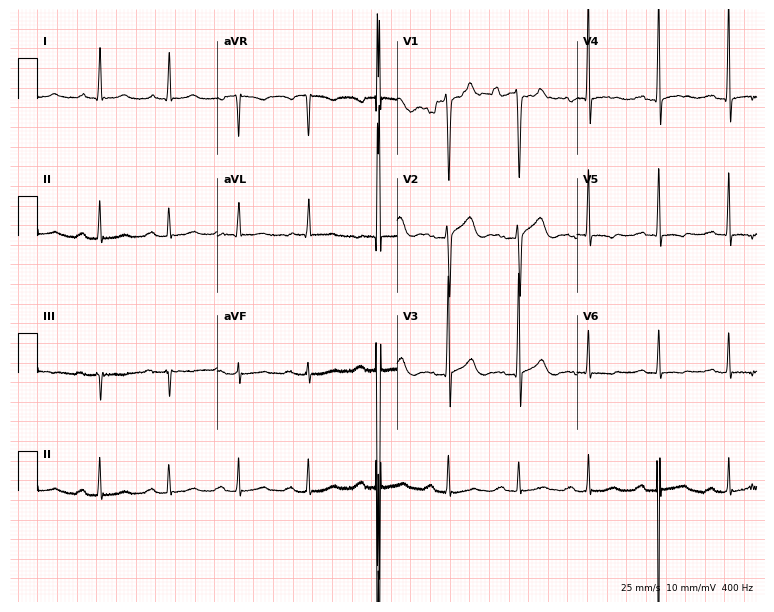
12-lead ECG from a 77-year-old man. Shows first-degree AV block.